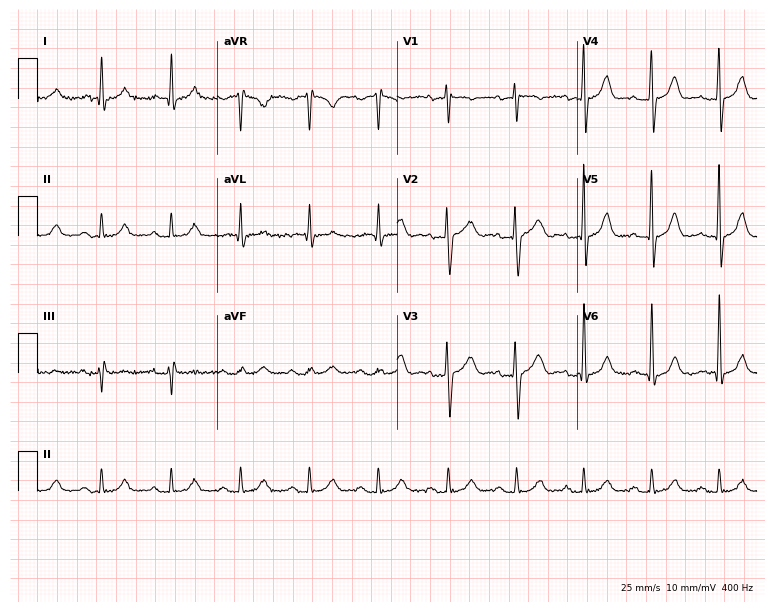
12-lead ECG (7.3-second recording at 400 Hz) from a male patient, 63 years old. Screened for six findings — first-degree AV block, right bundle branch block, left bundle branch block, sinus bradycardia, atrial fibrillation, sinus tachycardia — none is recorded.